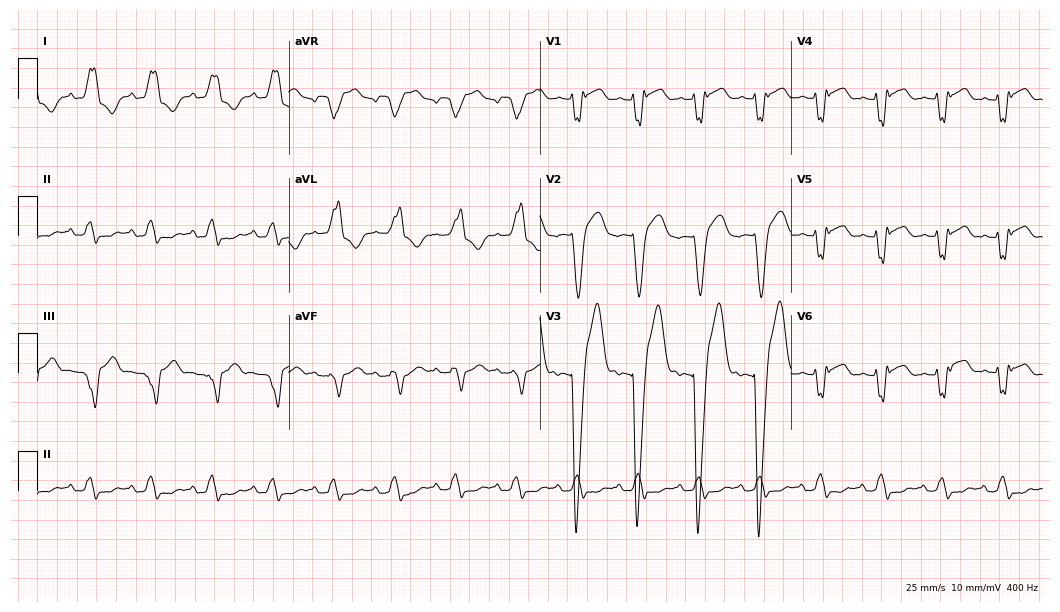
Electrocardiogram, an 83-year-old male patient. Interpretation includes left bundle branch block.